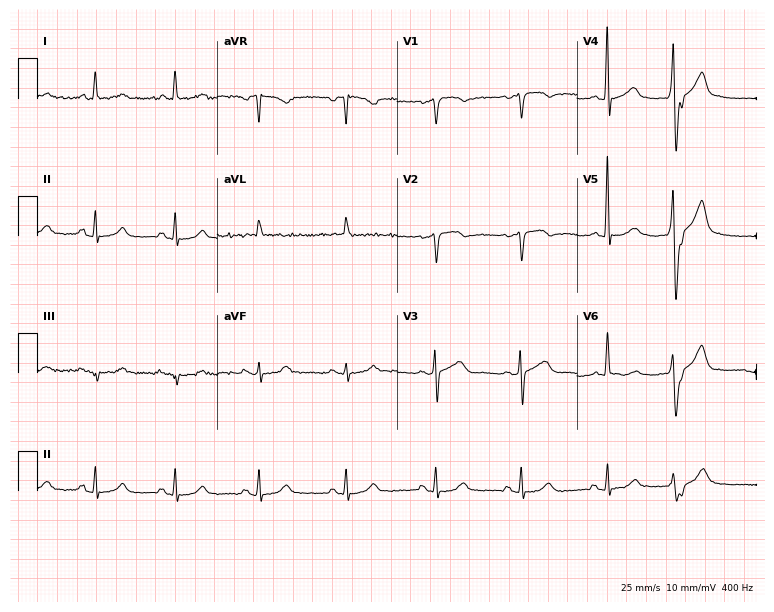
Electrocardiogram (7.3-second recording at 400 Hz), a female patient, 62 years old. Of the six screened findings (first-degree AV block, right bundle branch block (RBBB), left bundle branch block (LBBB), sinus bradycardia, atrial fibrillation (AF), sinus tachycardia), none is recorded.